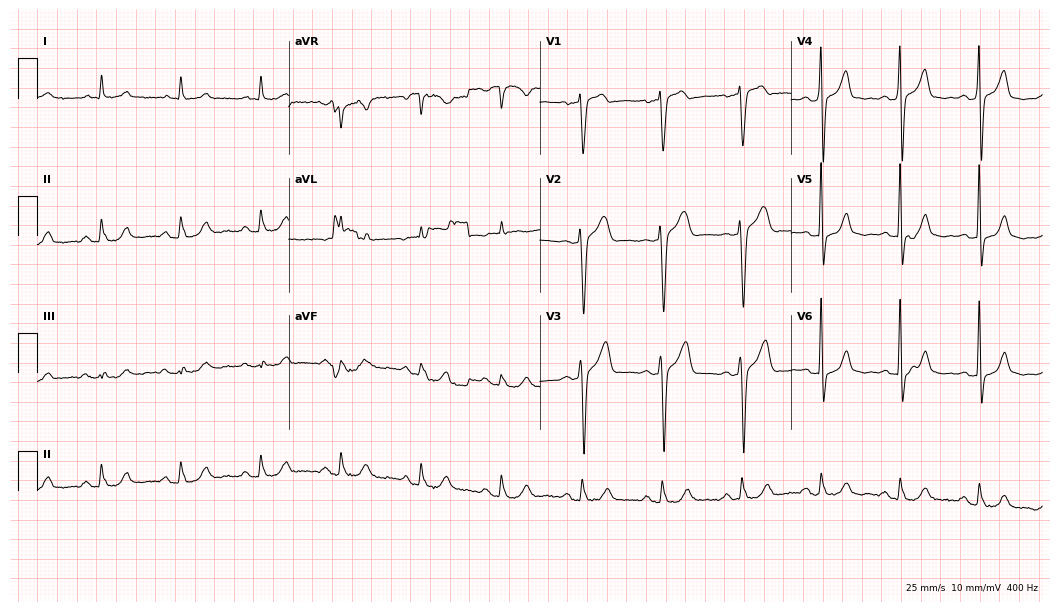
Electrocardiogram (10.2-second recording at 400 Hz), a 77-year-old male patient. Overall reading on record: normal ECG.